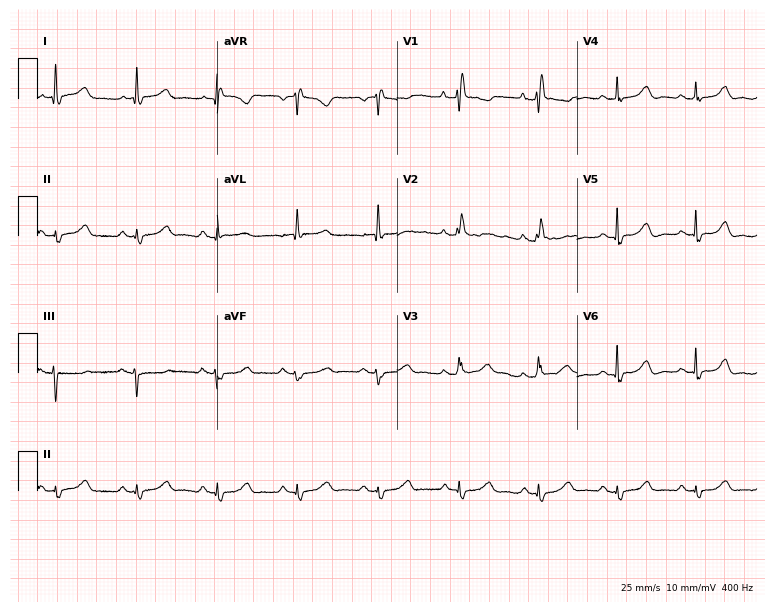
Electrocardiogram, a woman, 85 years old. Of the six screened findings (first-degree AV block, right bundle branch block, left bundle branch block, sinus bradycardia, atrial fibrillation, sinus tachycardia), none is recorded. Only these six findings were labelled.